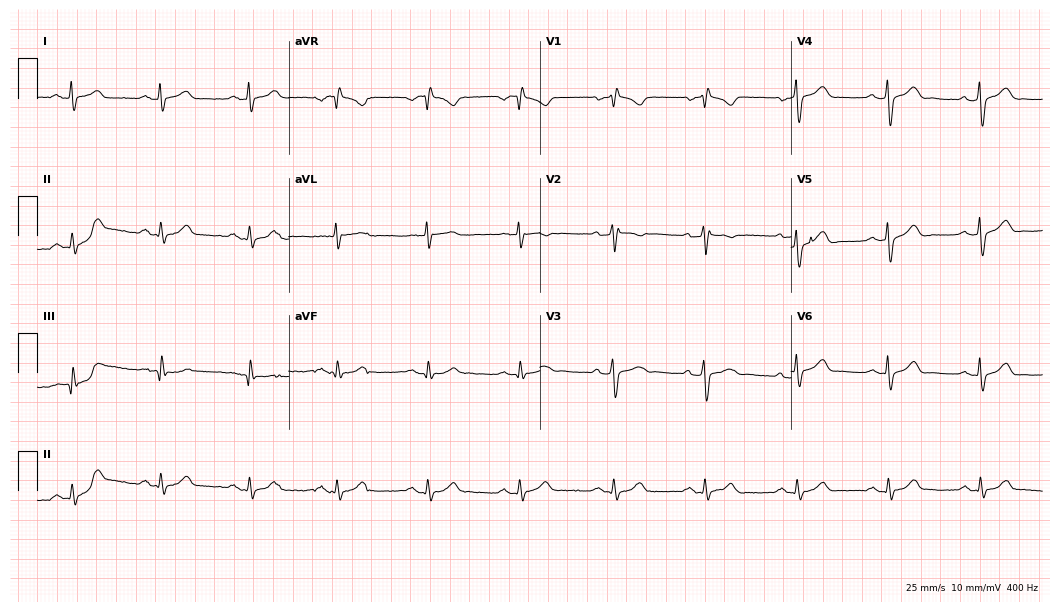
12-lead ECG from a man, 54 years old. Screened for six findings — first-degree AV block, right bundle branch block, left bundle branch block, sinus bradycardia, atrial fibrillation, sinus tachycardia — none is recorded. Findings outside these six are not listed.